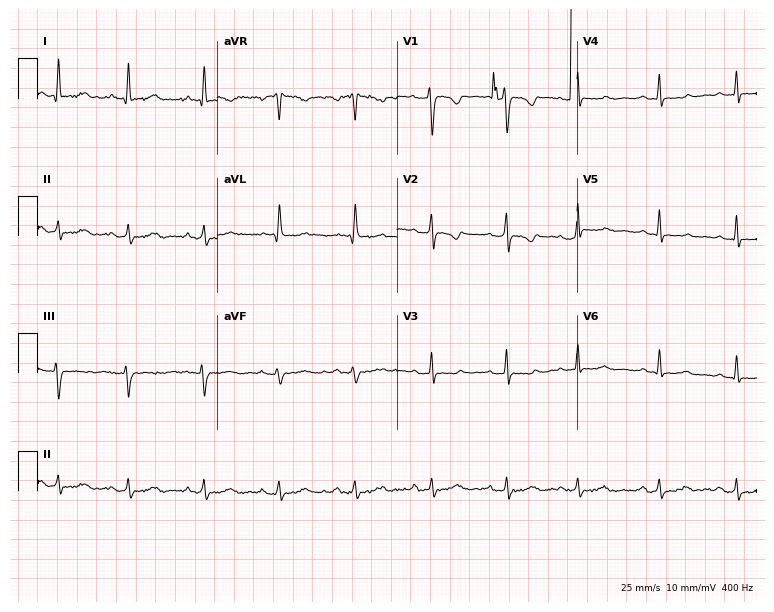
12-lead ECG from a 45-year-old female patient. No first-degree AV block, right bundle branch block (RBBB), left bundle branch block (LBBB), sinus bradycardia, atrial fibrillation (AF) or sinus tachycardia recorded for this tracing.